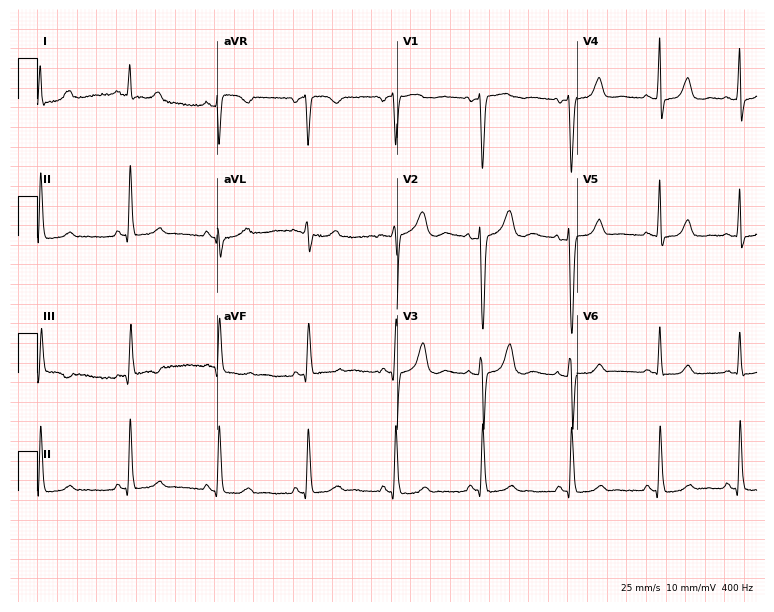
Electrocardiogram (7.3-second recording at 400 Hz), a female, 49 years old. Of the six screened findings (first-degree AV block, right bundle branch block, left bundle branch block, sinus bradycardia, atrial fibrillation, sinus tachycardia), none is recorded.